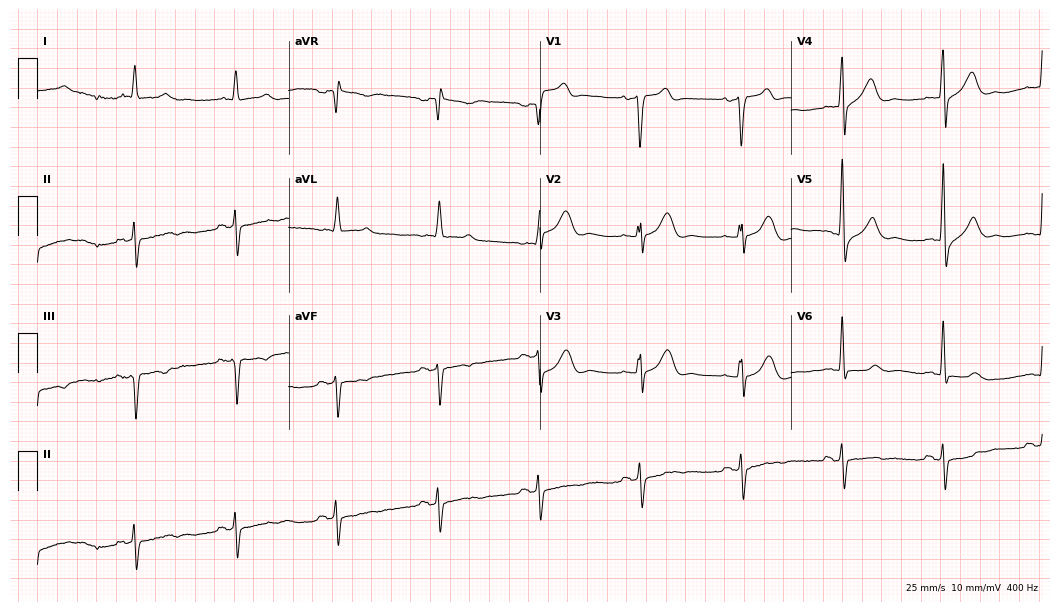
ECG (10.2-second recording at 400 Hz) — a male, 60 years old. Screened for six findings — first-degree AV block, right bundle branch block, left bundle branch block, sinus bradycardia, atrial fibrillation, sinus tachycardia — none is recorded. Only these six findings were labelled.